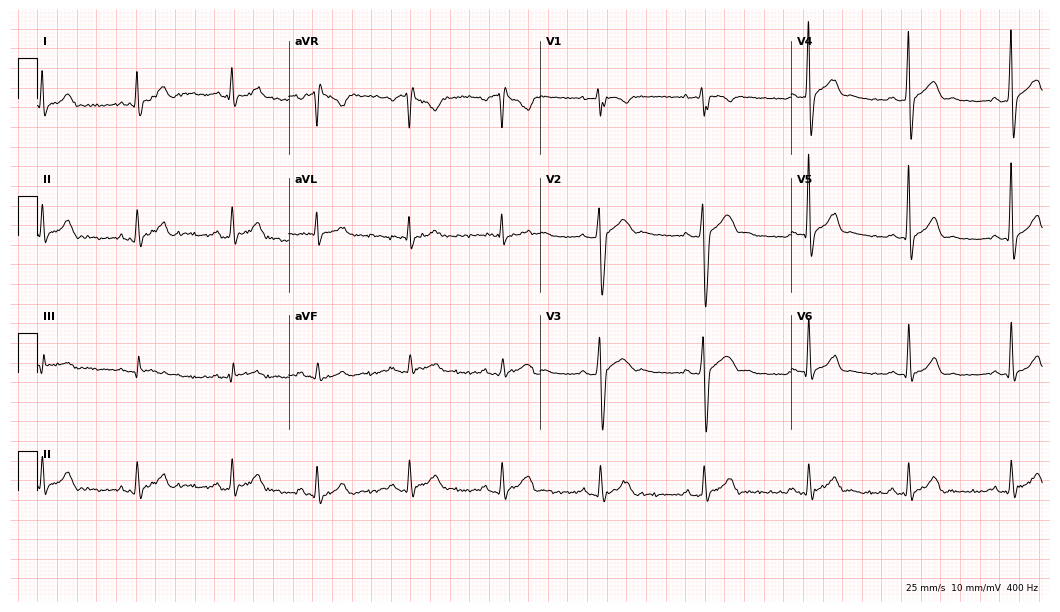
ECG — an 18-year-old male patient. Screened for six findings — first-degree AV block, right bundle branch block (RBBB), left bundle branch block (LBBB), sinus bradycardia, atrial fibrillation (AF), sinus tachycardia — none is recorded.